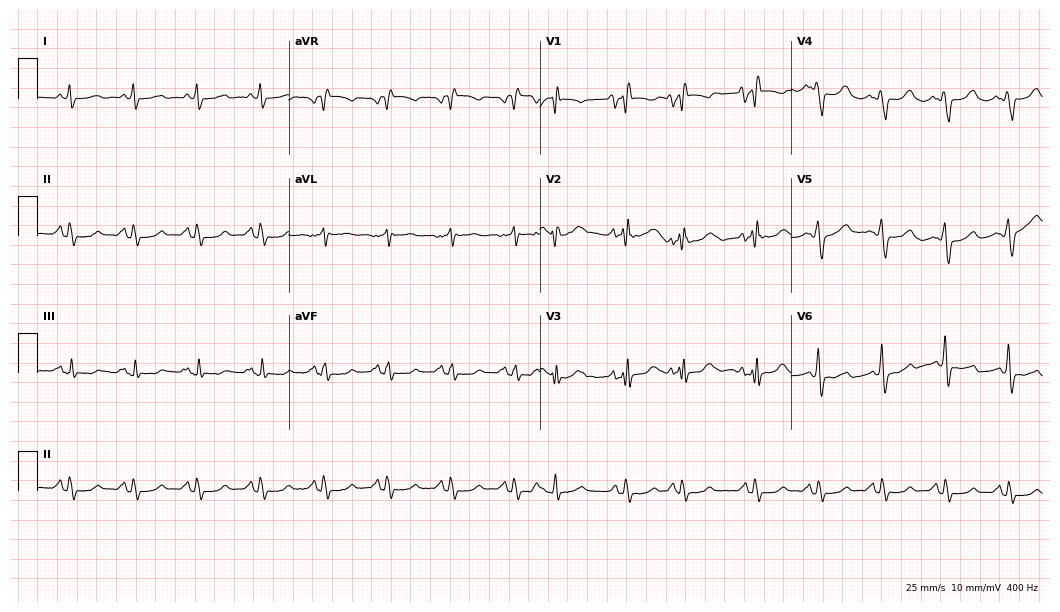
Standard 12-lead ECG recorded from a 63-year-old man. None of these six findings is recorded: first-degree AV block, right bundle branch block, left bundle branch block, sinus bradycardia, atrial fibrillation, sinus tachycardia. Only these six findings were labelled.